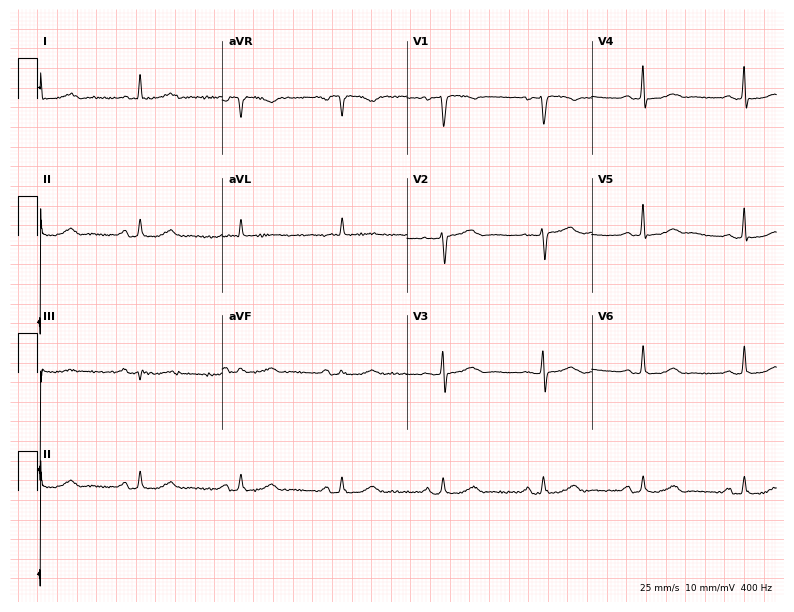
12-lead ECG from a 67-year-old woman (7.5-second recording at 400 Hz). Recorded interpretation: within normal limits.